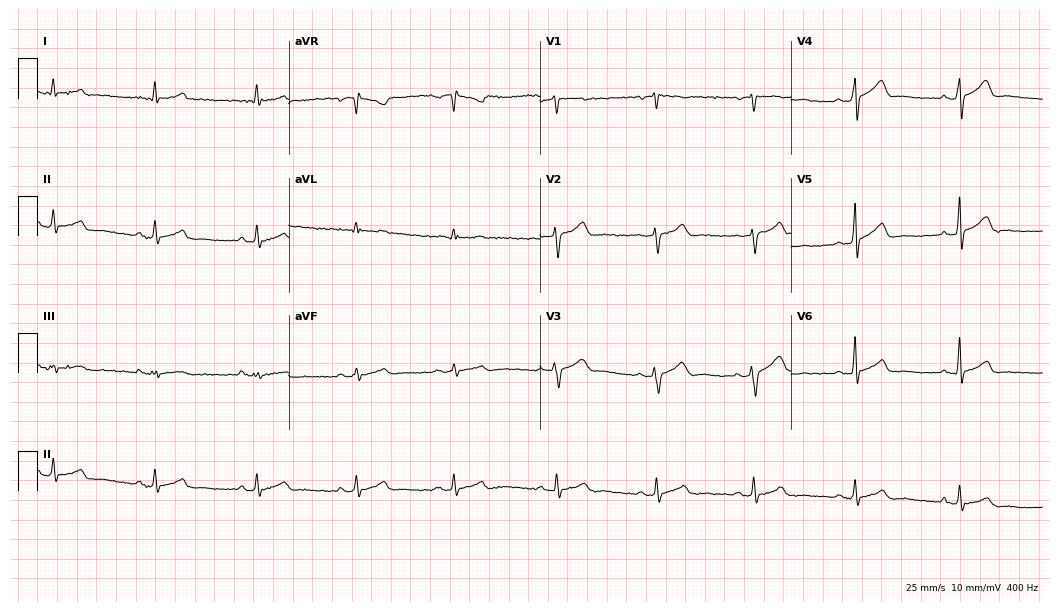
Standard 12-lead ECG recorded from a 40-year-old male (10.2-second recording at 400 Hz). Read as a normal ECG.